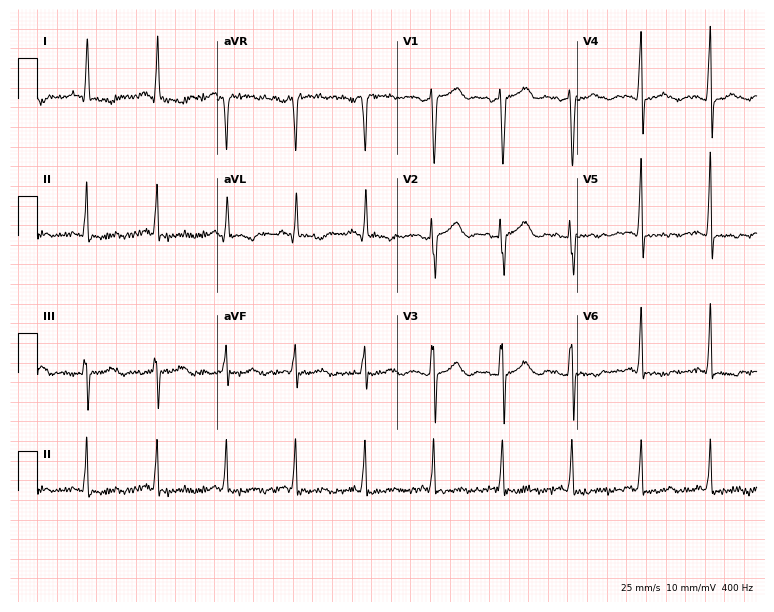
12-lead ECG from a female, 59 years old. Screened for six findings — first-degree AV block, right bundle branch block, left bundle branch block, sinus bradycardia, atrial fibrillation, sinus tachycardia — none is recorded.